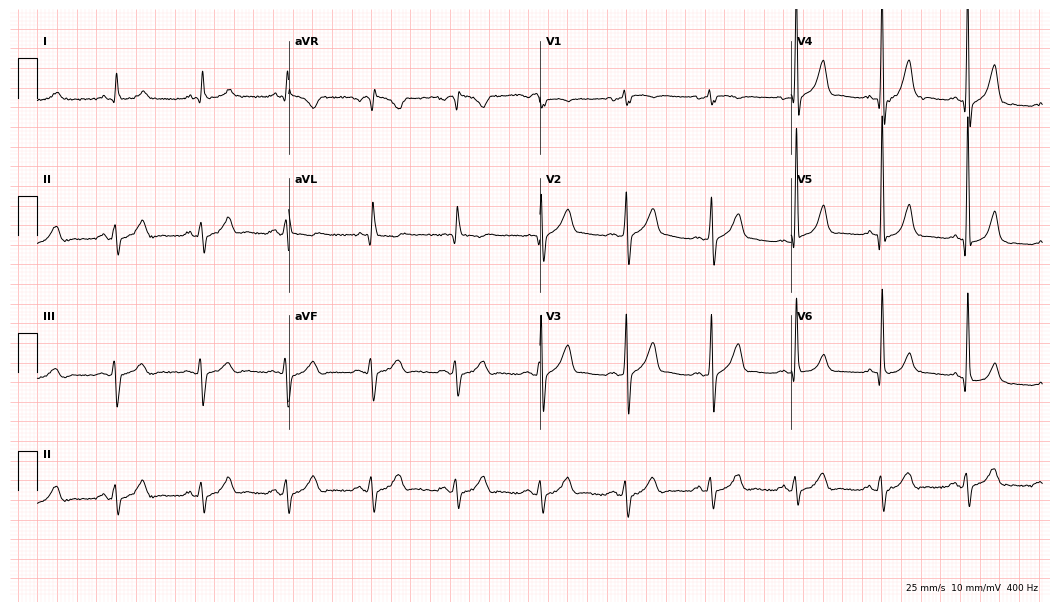
Electrocardiogram, a man, 68 years old. Of the six screened findings (first-degree AV block, right bundle branch block, left bundle branch block, sinus bradycardia, atrial fibrillation, sinus tachycardia), none is recorded. Findings outside these six are not listed.